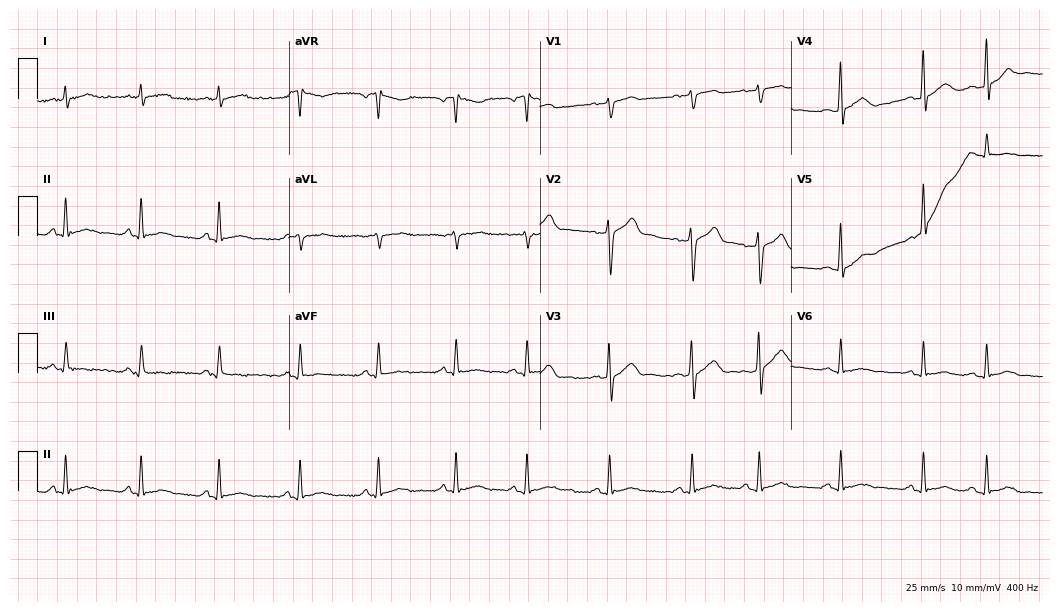
Electrocardiogram, a 53-year-old man. Of the six screened findings (first-degree AV block, right bundle branch block (RBBB), left bundle branch block (LBBB), sinus bradycardia, atrial fibrillation (AF), sinus tachycardia), none is recorded.